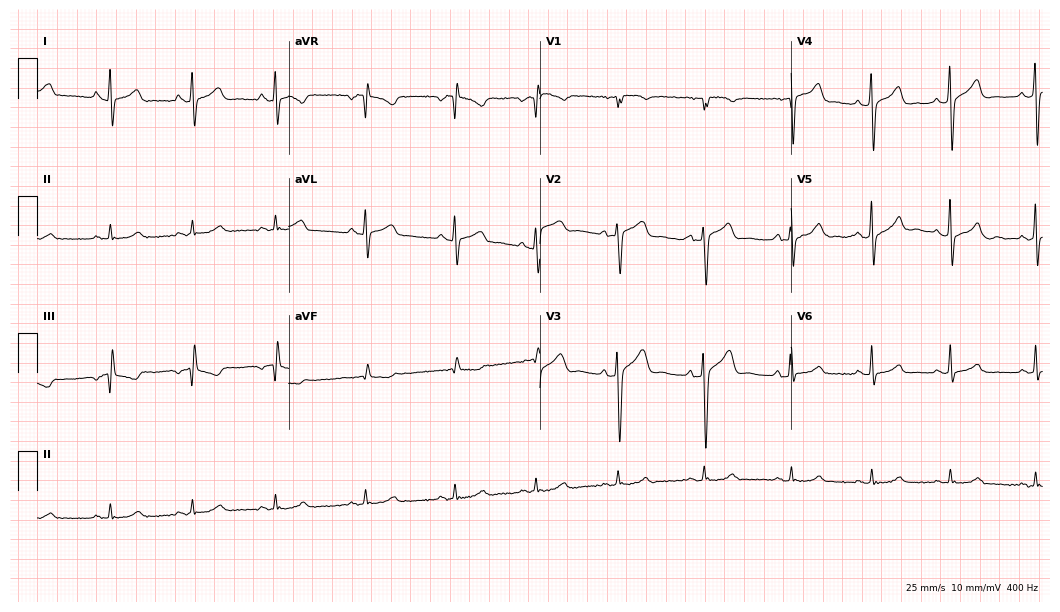
Electrocardiogram, a man, 35 years old. Overall reading on record: normal ECG.